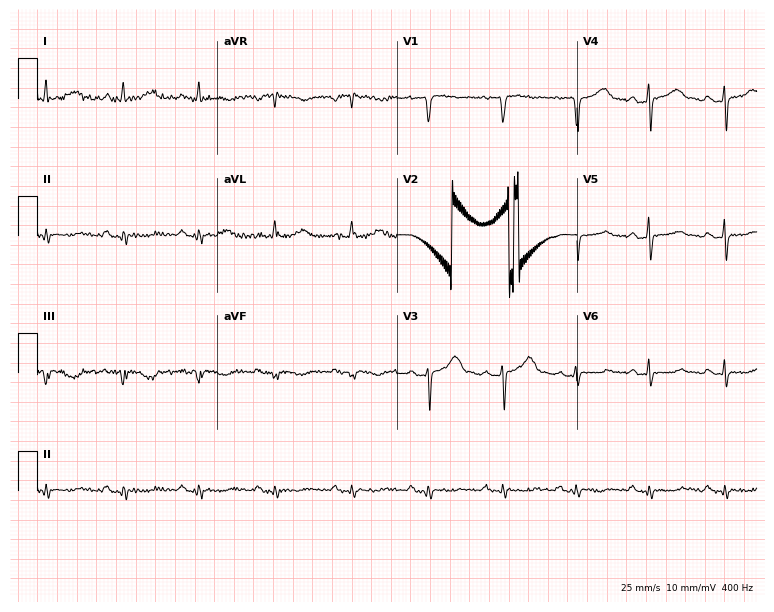
ECG — a 54-year-old woman. Screened for six findings — first-degree AV block, right bundle branch block (RBBB), left bundle branch block (LBBB), sinus bradycardia, atrial fibrillation (AF), sinus tachycardia — none is recorded.